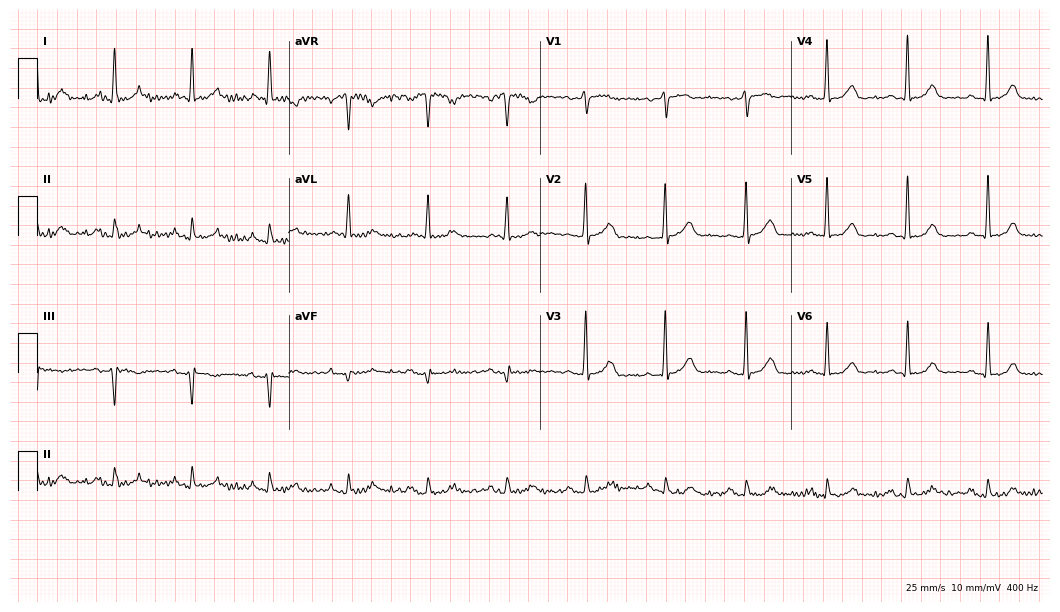
Resting 12-lead electrocardiogram. Patient: a male, 83 years old. None of these six findings is recorded: first-degree AV block, right bundle branch block (RBBB), left bundle branch block (LBBB), sinus bradycardia, atrial fibrillation (AF), sinus tachycardia. Other findings, if any, are not listed.